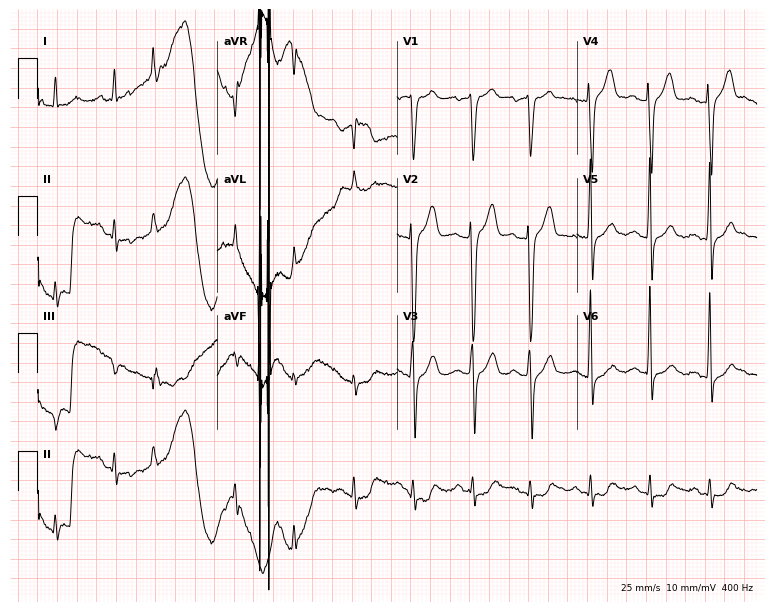
ECG (7.3-second recording at 400 Hz) — a 75-year-old male. Labelled as a normal ECG.